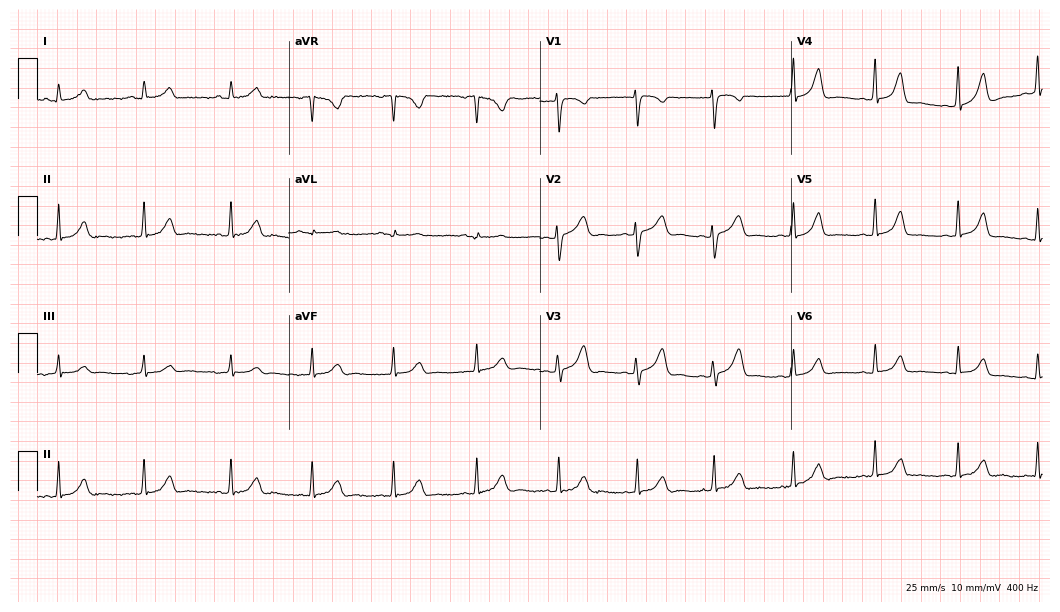
12-lead ECG from a female, 26 years old (10.2-second recording at 400 Hz). Recorded interpretation: within normal limits.